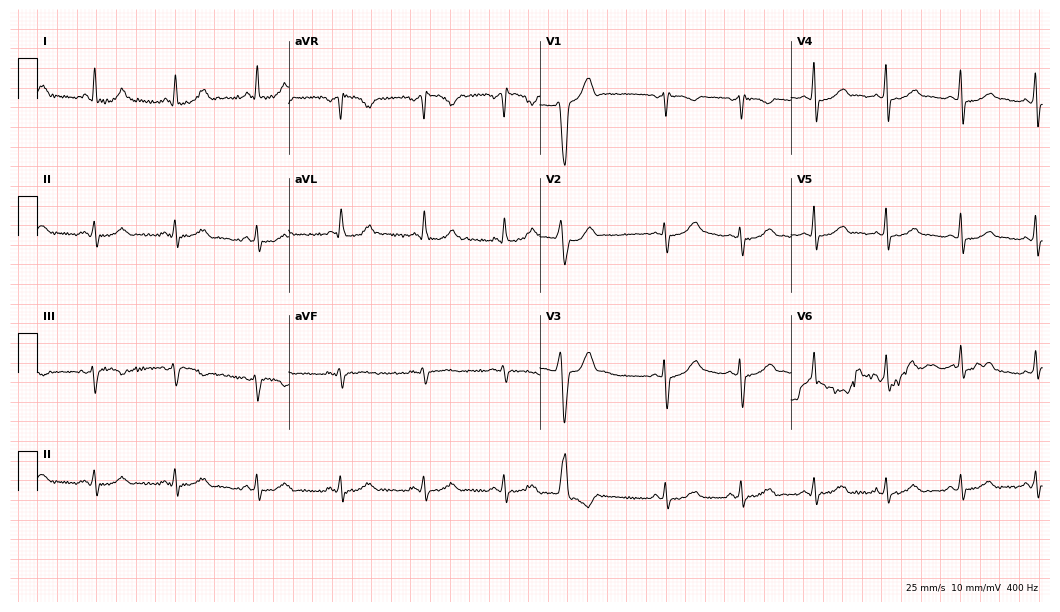
Standard 12-lead ECG recorded from a female patient, 37 years old (10.2-second recording at 400 Hz). None of these six findings is recorded: first-degree AV block, right bundle branch block, left bundle branch block, sinus bradycardia, atrial fibrillation, sinus tachycardia. Other findings, if any, are not listed.